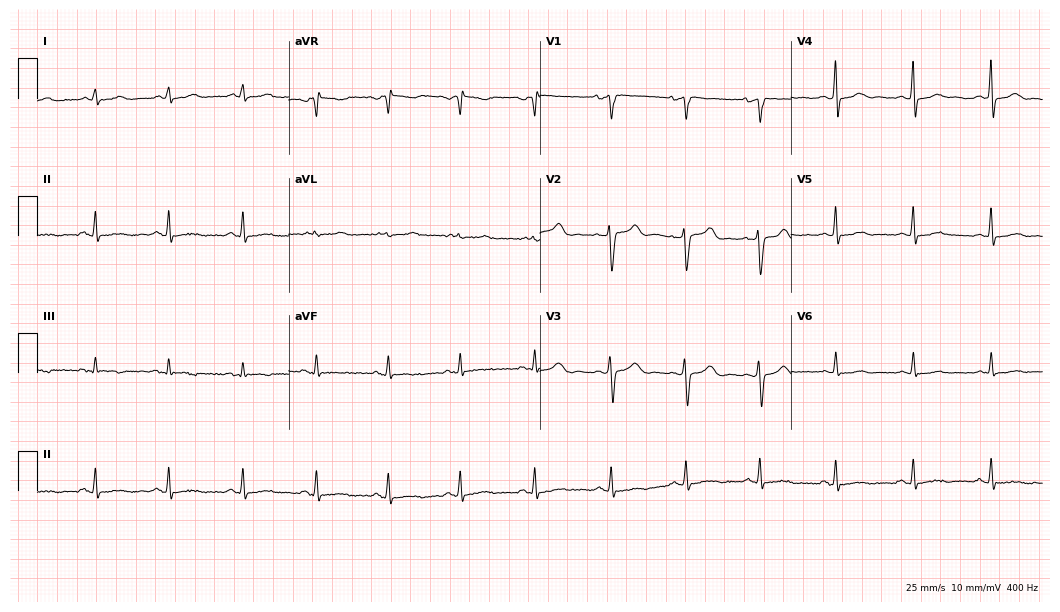
Electrocardiogram, a 41-year-old woman. Of the six screened findings (first-degree AV block, right bundle branch block, left bundle branch block, sinus bradycardia, atrial fibrillation, sinus tachycardia), none is recorded. Only these six findings were labelled.